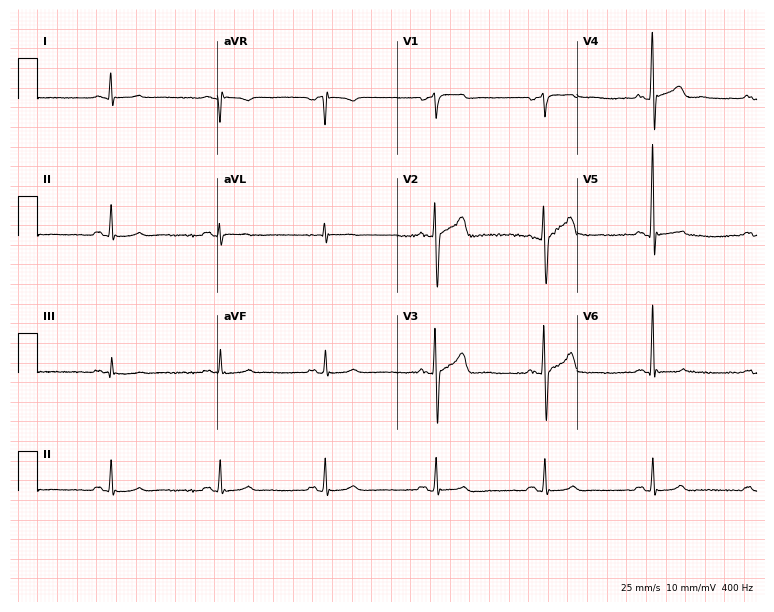
12-lead ECG from a 51-year-old male patient. No first-degree AV block, right bundle branch block, left bundle branch block, sinus bradycardia, atrial fibrillation or sinus tachycardia recorded for this tracing.